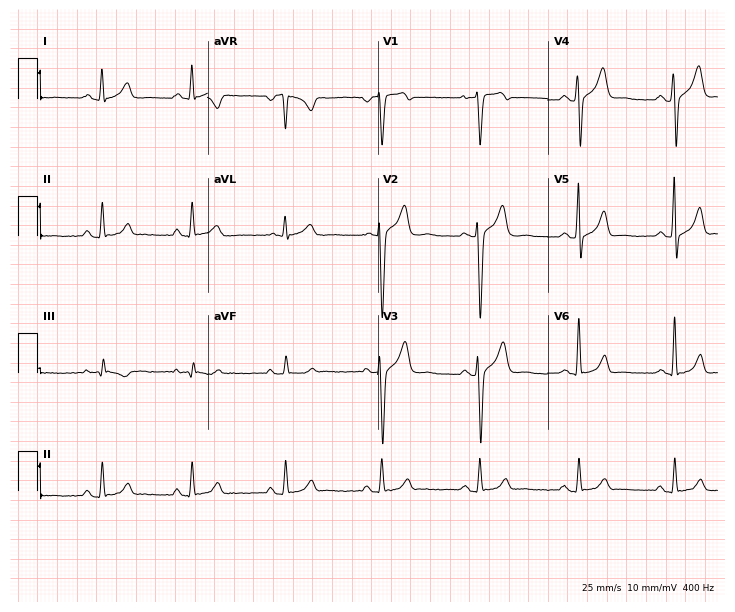
Electrocardiogram, a 36-year-old male patient. Of the six screened findings (first-degree AV block, right bundle branch block, left bundle branch block, sinus bradycardia, atrial fibrillation, sinus tachycardia), none is recorded. Only these six findings were labelled.